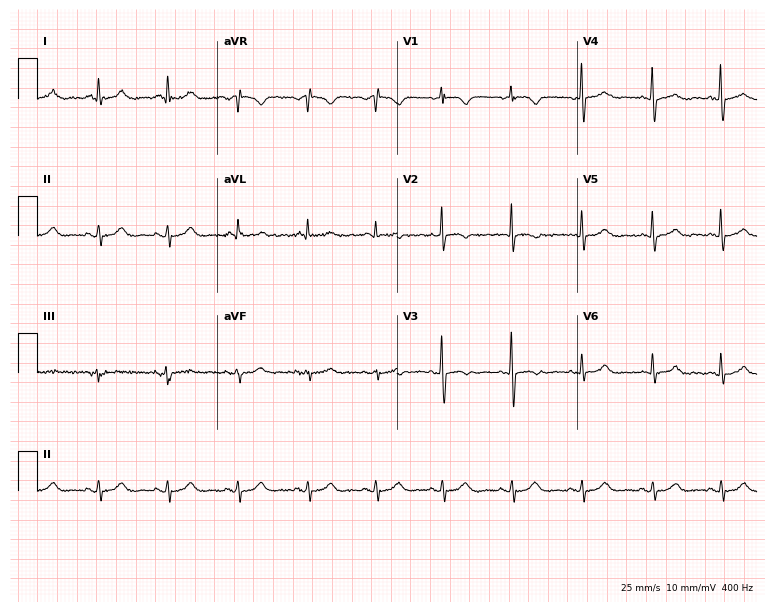
12-lead ECG from a female, 53 years old. No first-degree AV block, right bundle branch block, left bundle branch block, sinus bradycardia, atrial fibrillation or sinus tachycardia recorded for this tracing. Other findings, if any, are not listed.